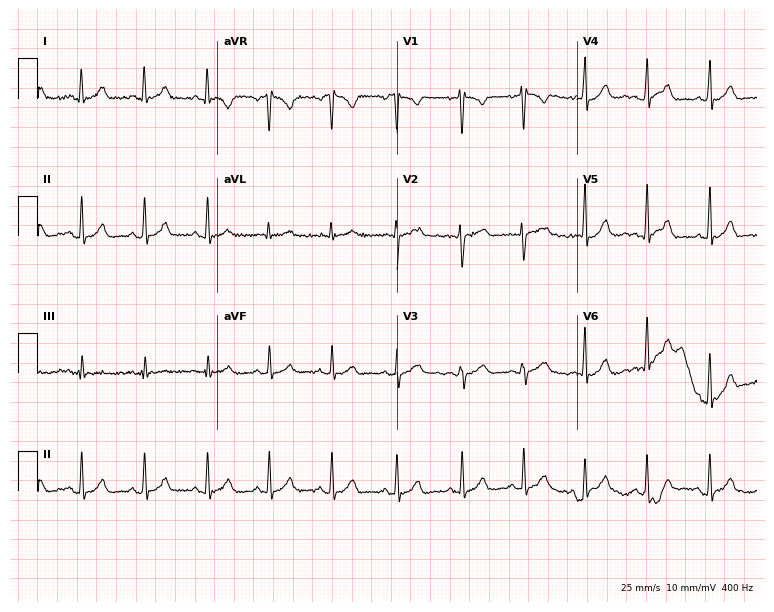
12-lead ECG (7.3-second recording at 400 Hz) from a 25-year-old woman. Labelled as a normal ECG.